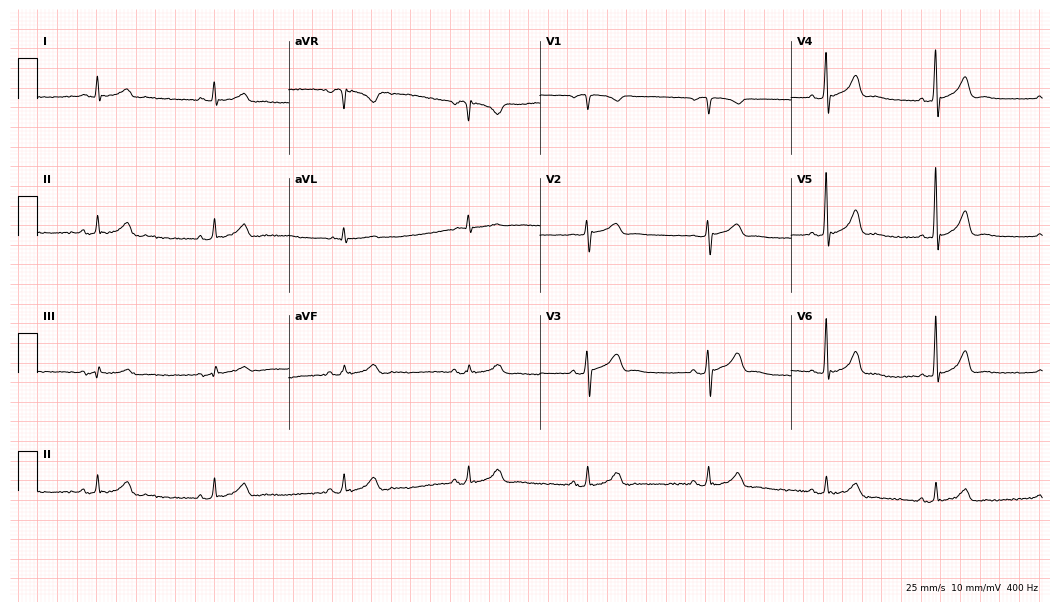
Resting 12-lead electrocardiogram. Patient: a male, 74 years old. The tracing shows sinus bradycardia (a sinus rate of 50 beats per minute or less).